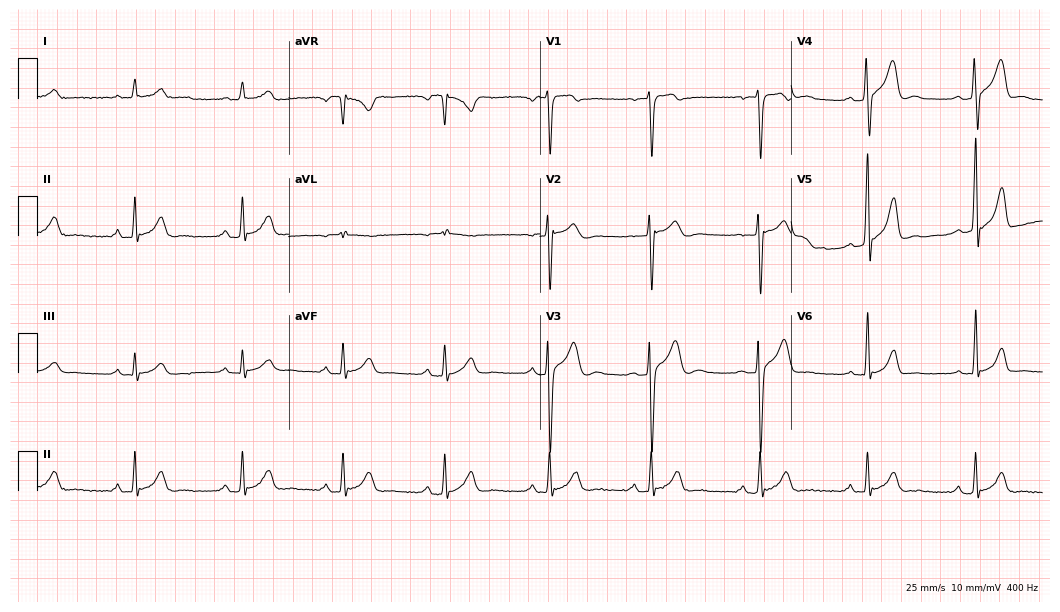
12-lead ECG from a 25-year-old male. No first-degree AV block, right bundle branch block, left bundle branch block, sinus bradycardia, atrial fibrillation or sinus tachycardia recorded for this tracing. Other findings, if any, are not listed.